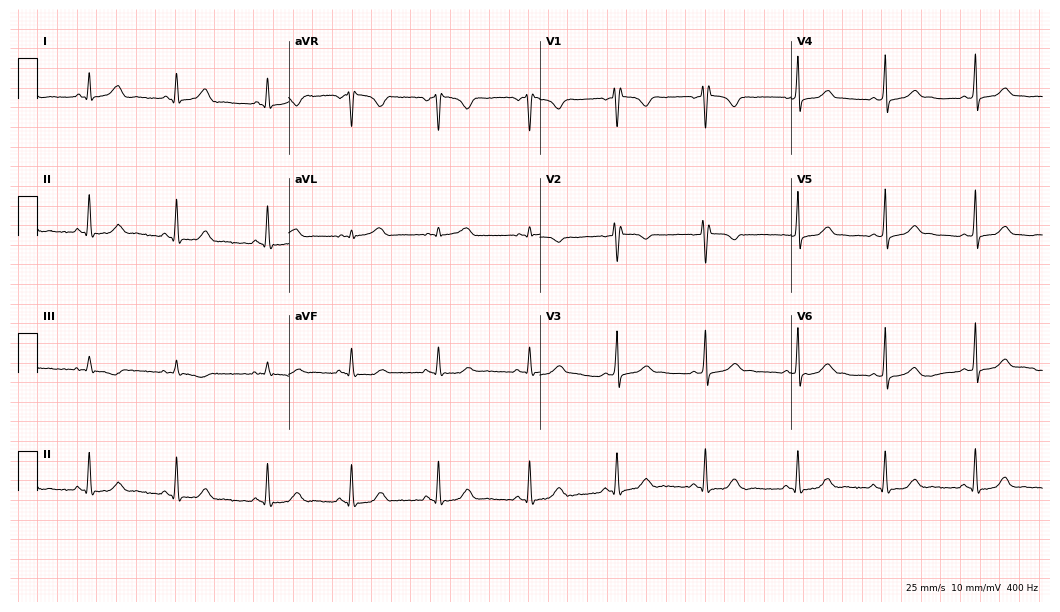
12-lead ECG from a female, 23 years old. No first-degree AV block, right bundle branch block, left bundle branch block, sinus bradycardia, atrial fibrillation or sinus tachycardia recorded for this tracing.